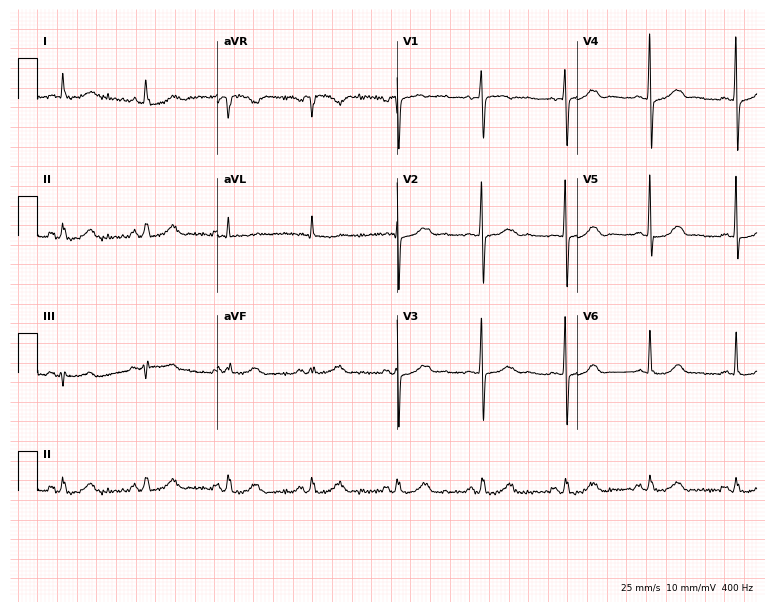
Standard 12-lead ECG recorded from a 77-year-old female patient. None of these six findings is recorded: first-degree AV block, right bundle branch block, left bundle branch block, sinus bradycardia, atrial fibrillation, sinus tachycardia.